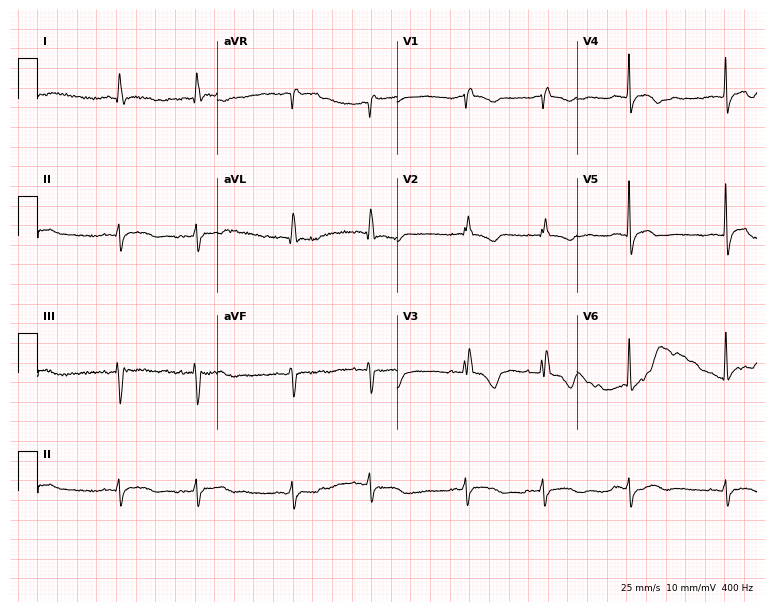
Standard 12-lead ECG recorded from a 65-year-old female. None of these six findings is recorded: first-degree AV block, right bundle branch block (RBBB), left bundle branch block (LBBB), sinus bradycardia, atrial fibrillation (AF), sinus tachycardia.